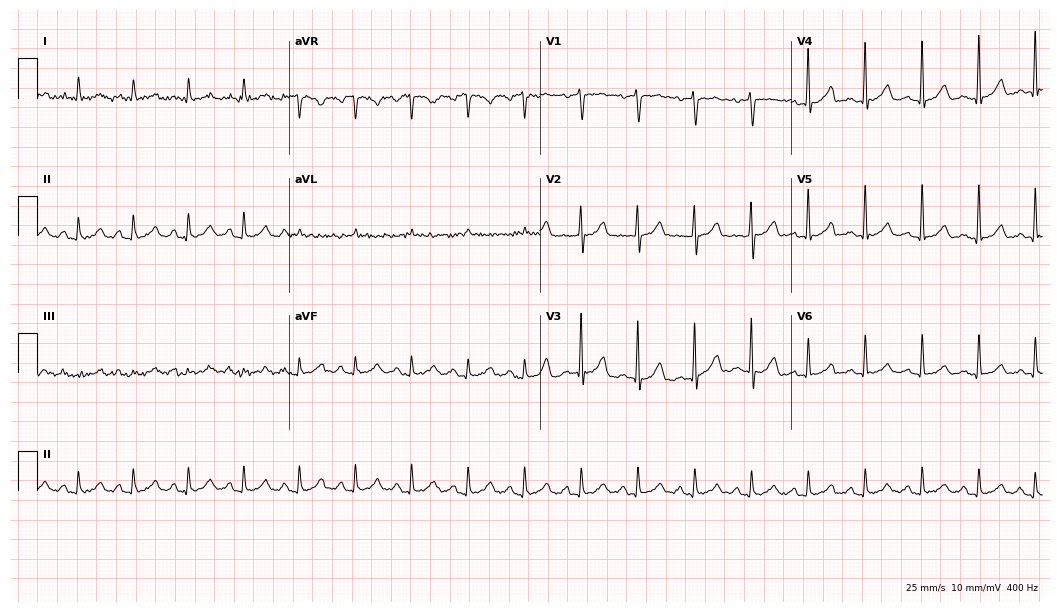
Resting 12-lead electrocardiogram. Patient: a 74-year-old male. The tracing shows sinus tachycardia (a sinus rate of 100 beats per minute or more).